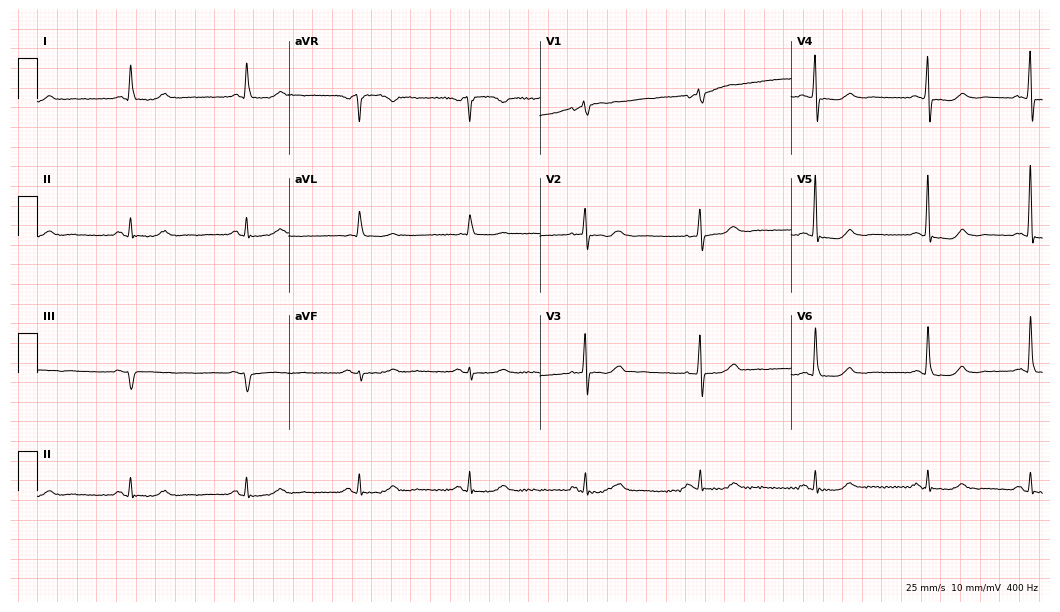
Standard 12-lead ECG recorded from a 77-year-old female. Read as a normal ECG.